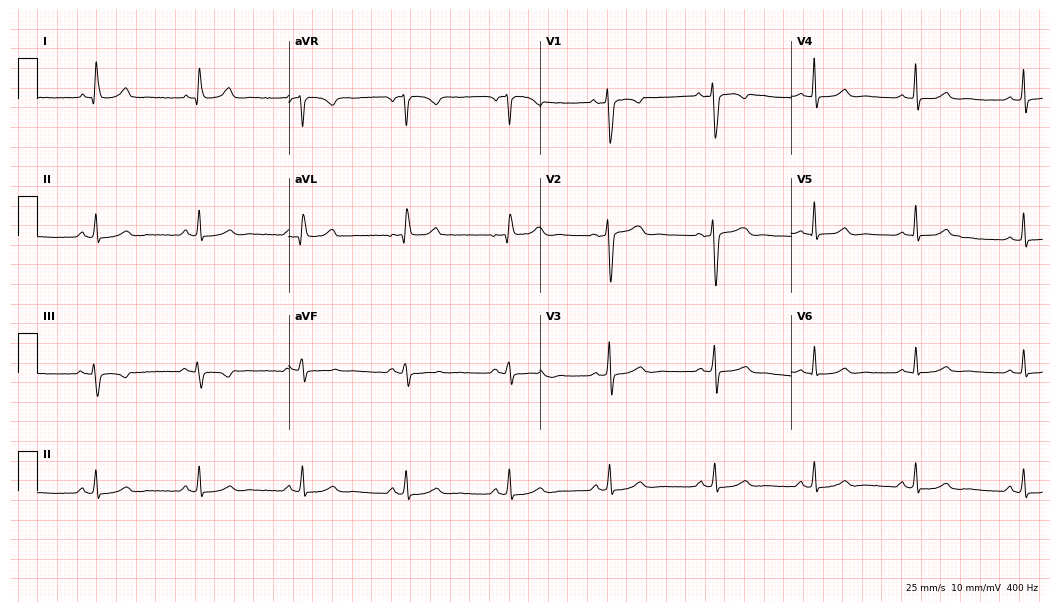
ECG — a 44-year-old female. Labelled as a normal ECG.